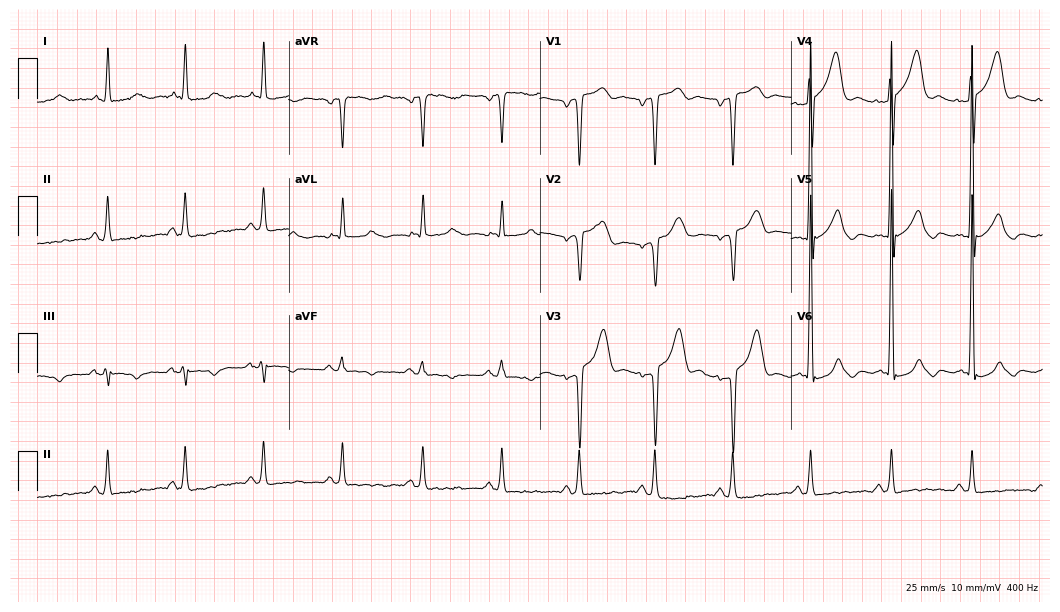
Resting 12-lead electrocardiogram (10.2-second recording at 400 Hz). Patient: a 71-year-old male. Read as a normal ECG.